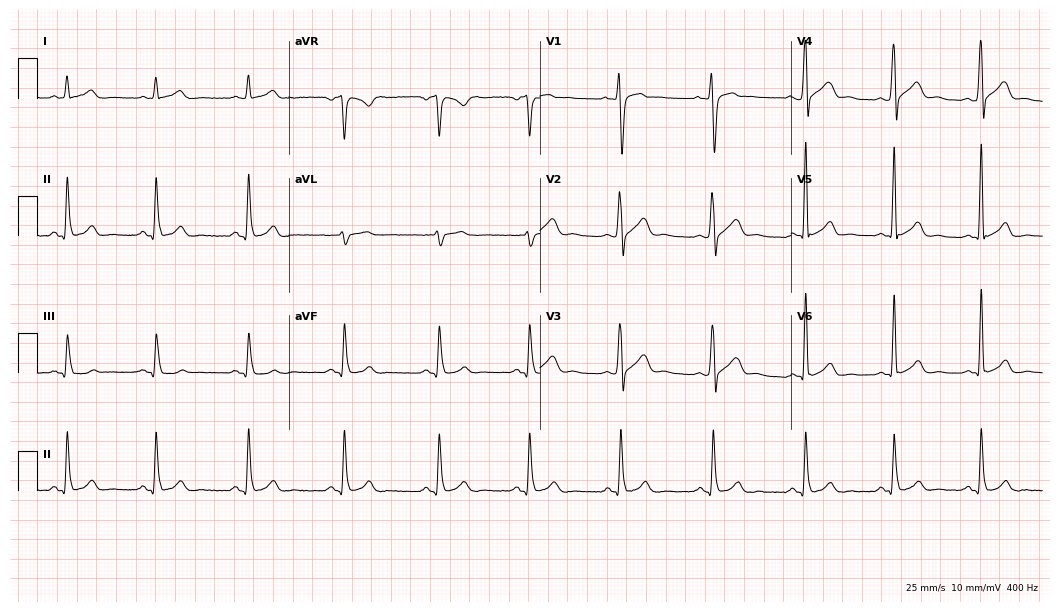
Electrocardiogram (10.2-second recording at 400 Hz), a man, 32 years old. Of the six screened findings (first-degree AV block, right bundle branch block, left bundle branch block, sinus bradycardia, atrial fibrillation, sinus tachycardia), none is recorded.